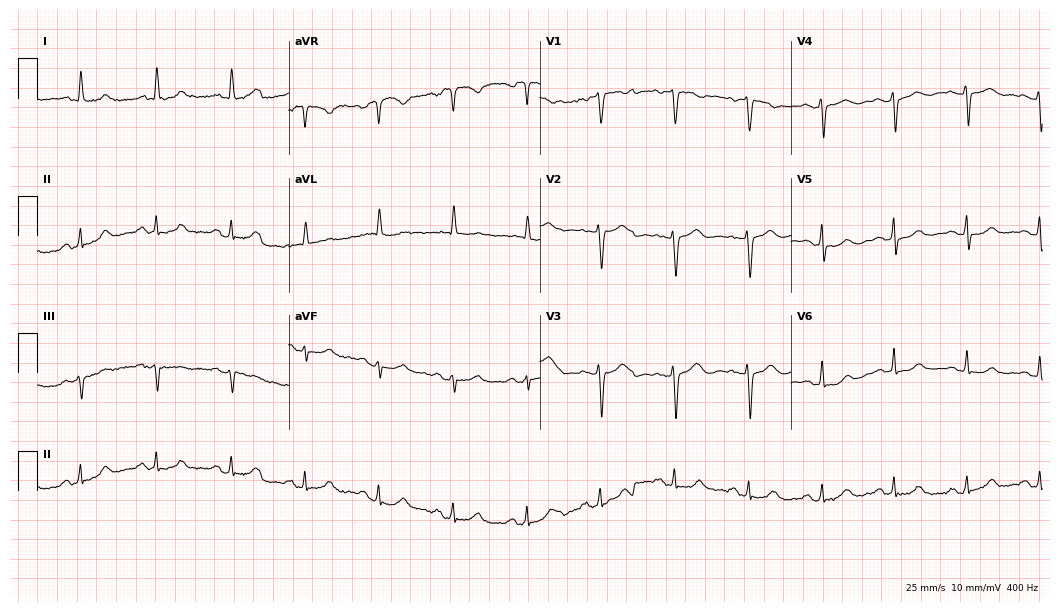
12-lead ECG from an 80-year-old female. No first-degree AV block, right bundle branch block (RBBB), left bundle branch block (LBBB), sinus bradycardia, atrial fibrillation (AF) or sinus tachycardia recorded for this tracing.